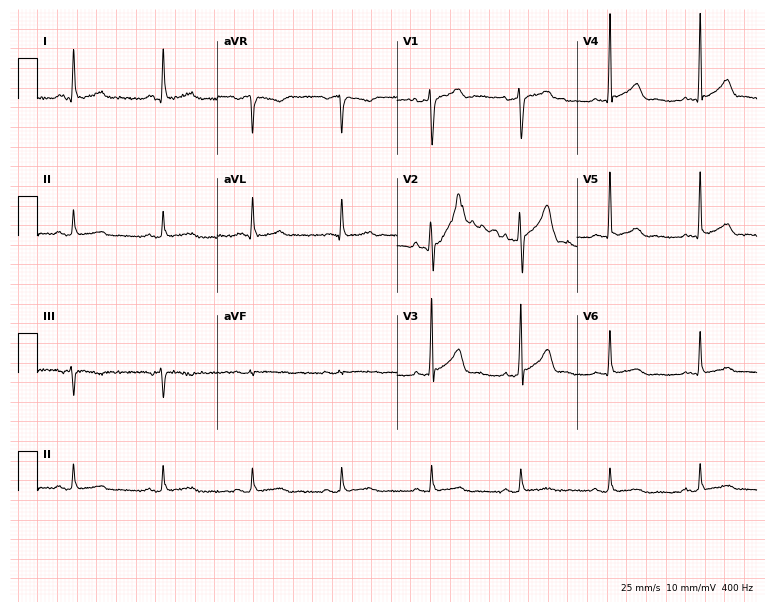
Resting 12-lead electrocardiogram (7.3-second recording at 400 Hz). Patient: a 69-year-old male. None of these six findings is recorded: first-degree AV block, right bundle branch block (RBBB), left bundle branch block (LBBB), sinus bradycardia, atrial fibrillation (AF), sinus tachycardia. Only these six findings were labelled.